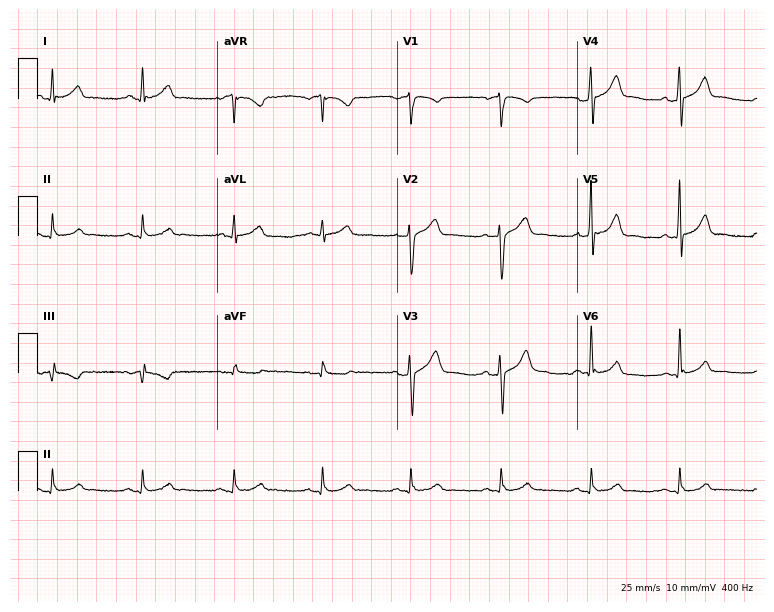
12-lead ECG from a 51-year-old male (7.3-second recording at 400 Hz). No first-degree AV block, right bundle branch block, left bundle branch block, sinus bradycardia, atrial fibrillation or sinus tachycardia recorded for this tracing. Findings outside these six are not listed.